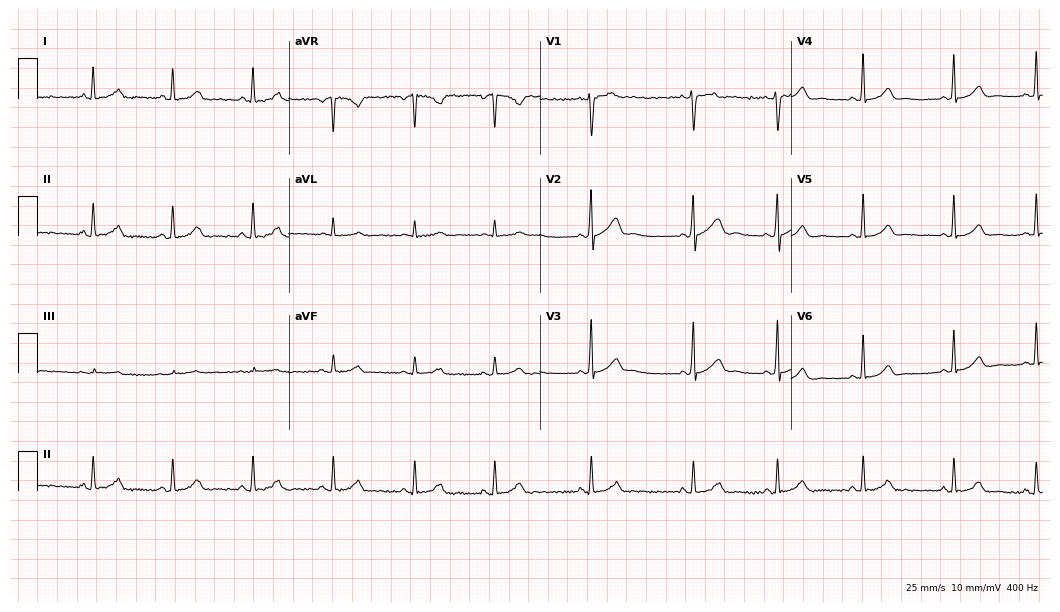
12-lead ECG (10.2-second recording at 400 Hz) from a woman, 23 years old. Screened for six findings — first-degree AV block, right bundle branch block, left bundle branch block, sinus bradycardia, atrial fibrillation, sinus tachycardia — none is recorded.